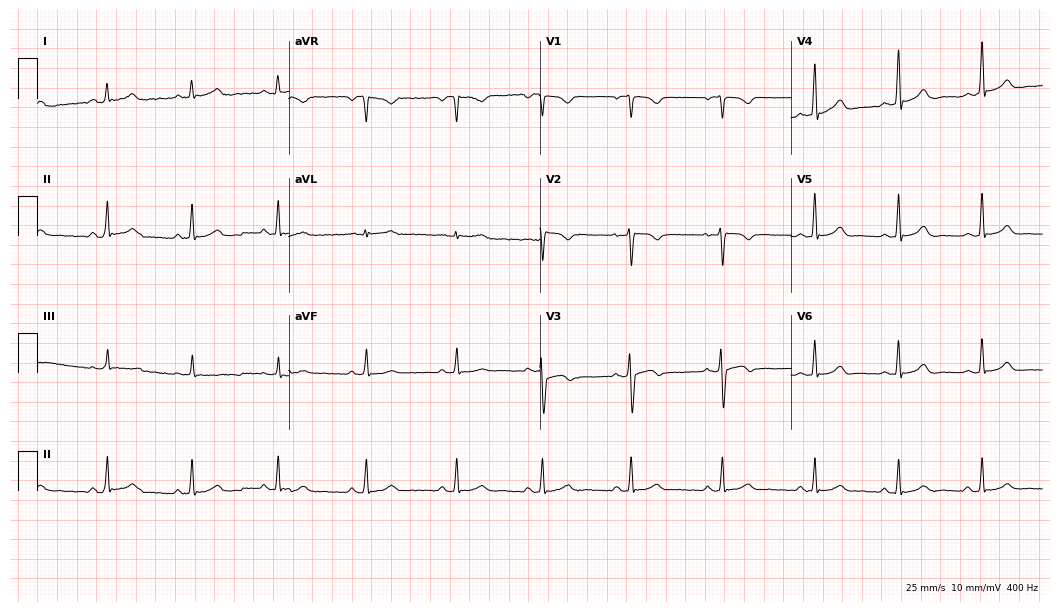
12-lead ECG from a 29-year-old female patient (10.2-second recording at 400 Hz). Recorded interpretation: within normal limits.